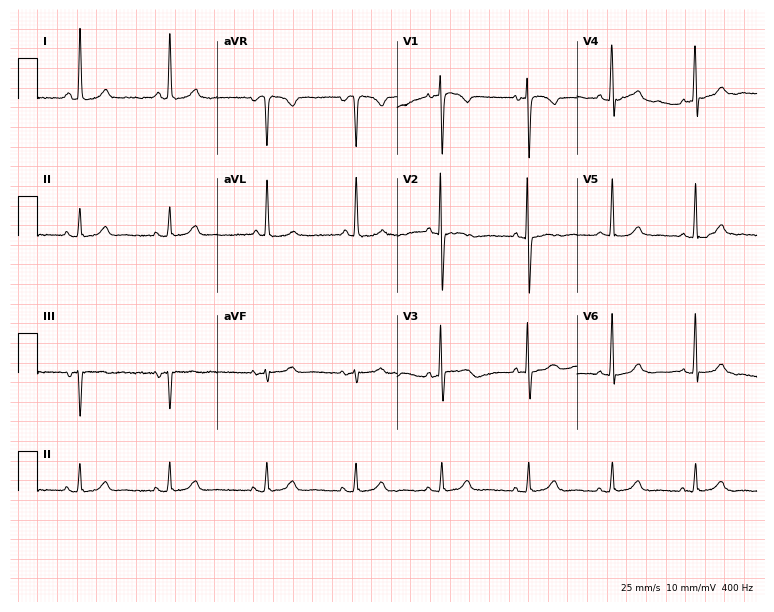
12-lead ECG from an 83-year-old woman. Labelled as a normal ECG.